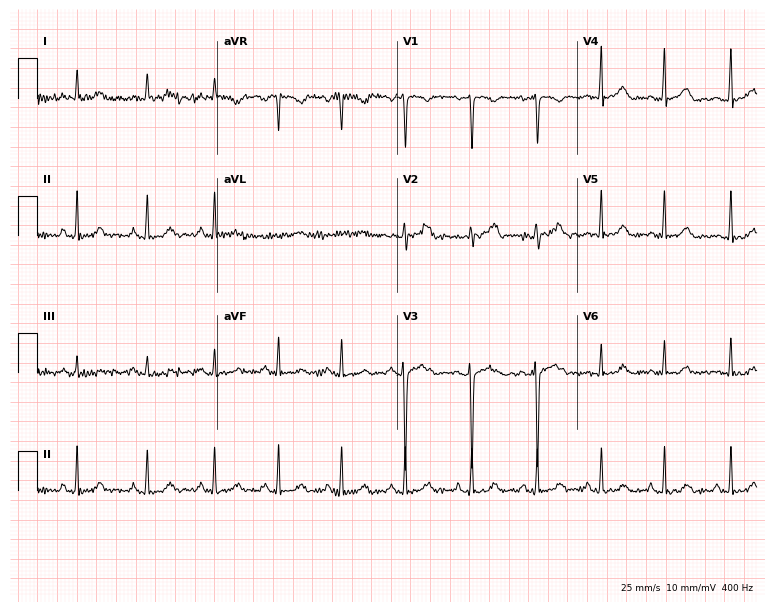
Standard 12-lead ECG recorded from a 26-year-old female (7.3-second recording at 400 Hz). Read as a normal ECG.